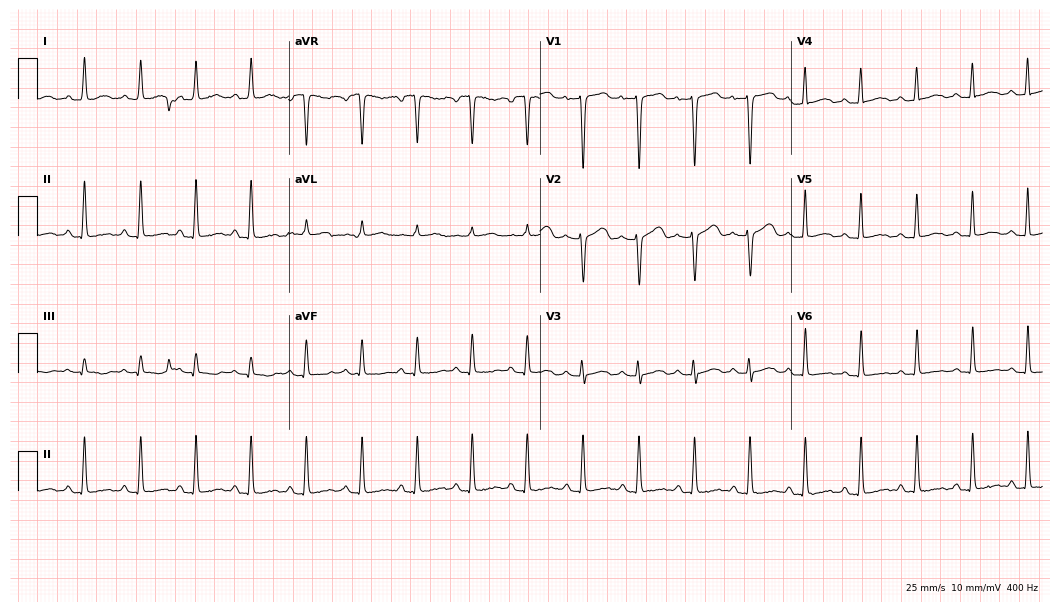
12-lead ECG from a female, 58 years old (10.2-second recording at 400 Hz). Shows sinus tachycardia (a sinus rate of 100 beats per minute or more).